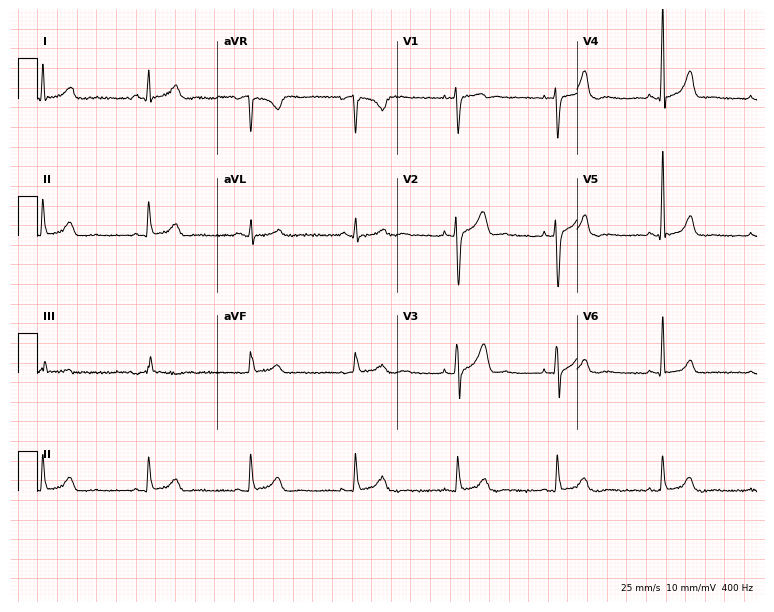
Standard 12-lead ECG recorded from a male, 45 years old (7.3-second recording at 400 Hz). None of these six findings is recorded: first-degree AV block, right bundle branch block, left bundle branch block, sinus bradycardia, atrial fibrillation, sinus tachycardia.